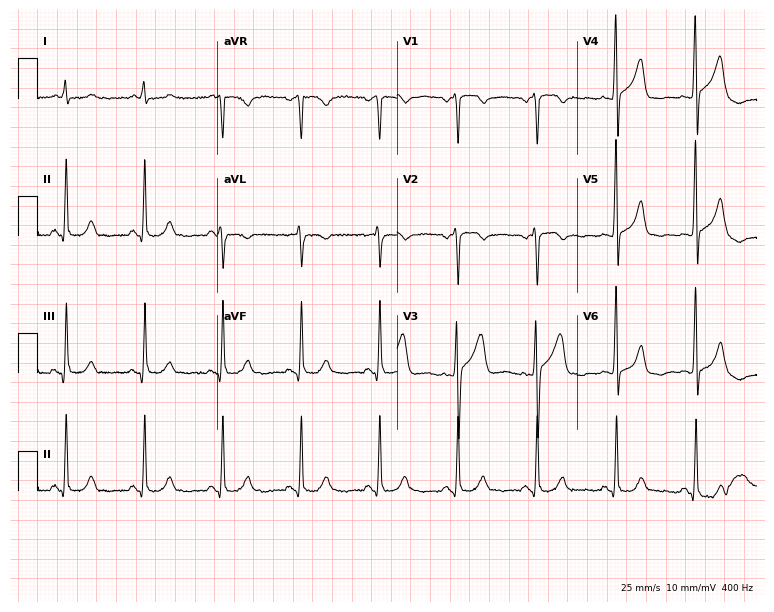
Standard 12-lead ECG recorded from a male, 60 years old (7.3-second recording at 400 Hz). None of these six findings is recorded: first-degree AV block, right bundle branch block, left bundle branch block, sinus bradycardia, atrial fibrillation, sinus tachycardia. Other findings, if any, are not listed.